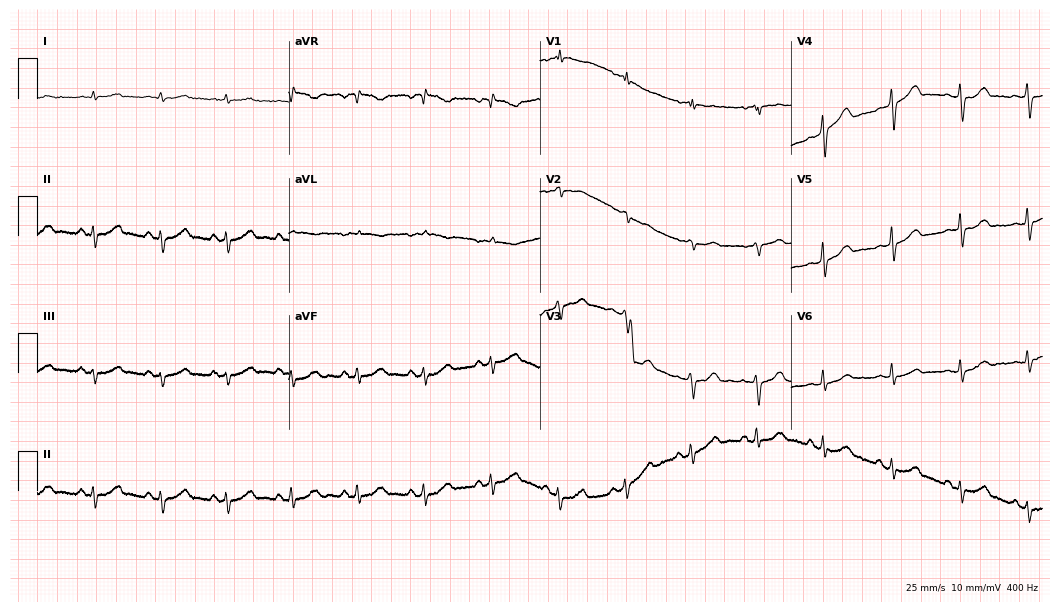
12-lead ECG from a male patient, 72 years old. Recorded interpretation: within normal limits.